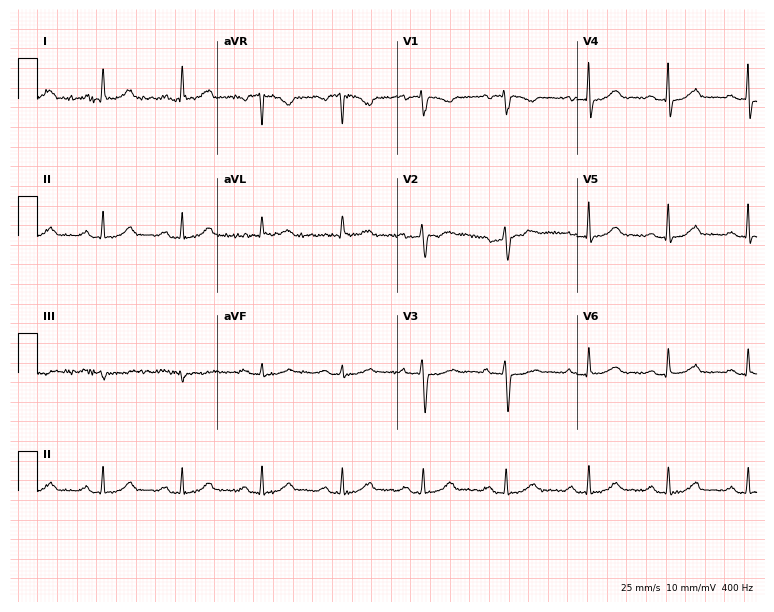
Standard 12-lead ECG recorded from a woman, 63 years old (7.3-second recording at 400 Hz). Read as a normal ECG.